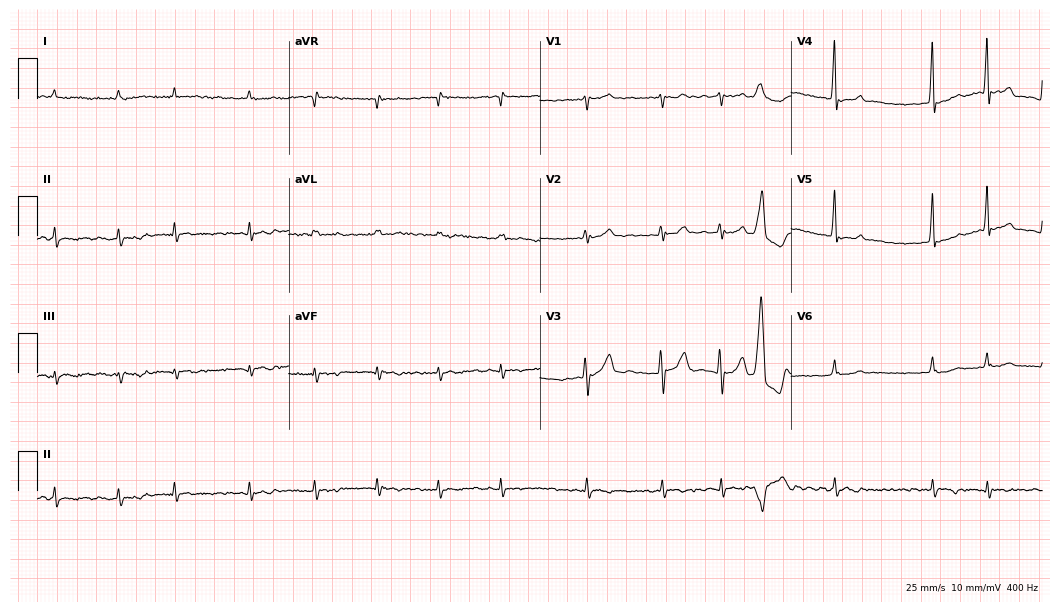
Resting 12-lead electrocardiogram. Patient: a man, 68 years old. The tracing shows atrial fibrillation (AF).